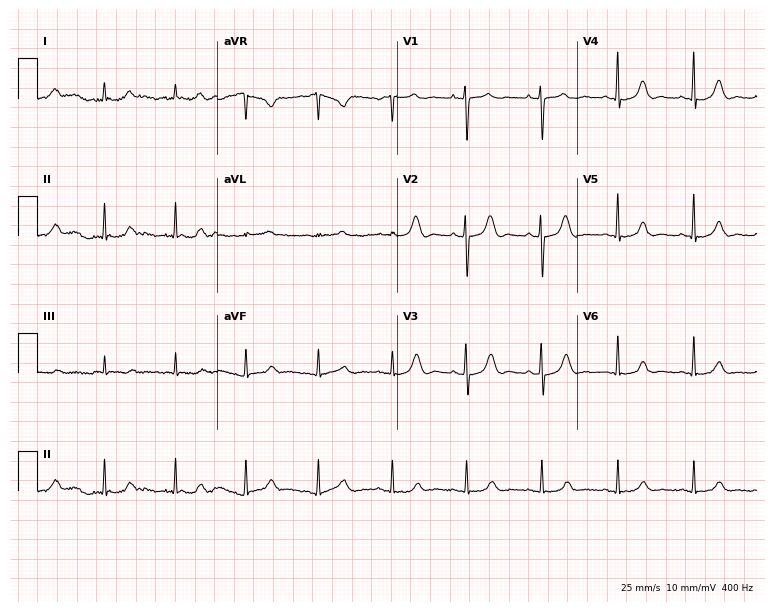
Resting 12-lead electrocardiogram. Patient: a woman, 47 years old. Read as a normal ECG.